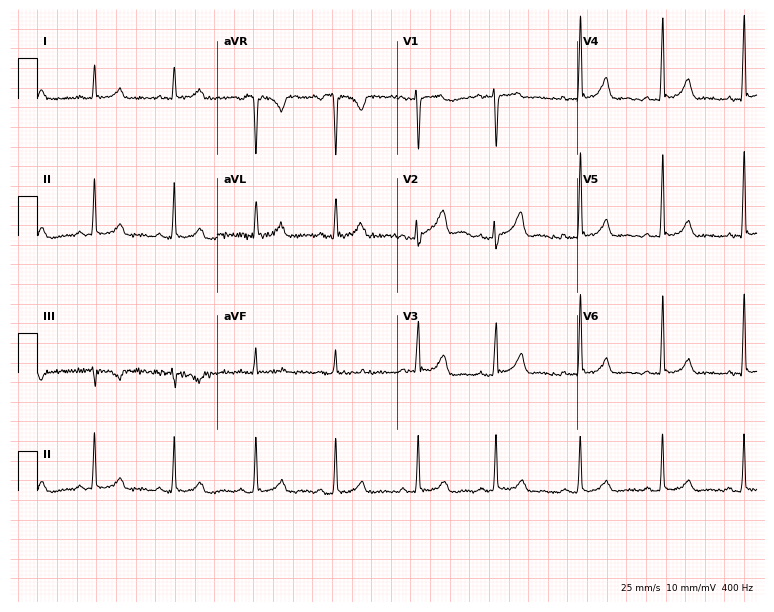
12-lead ECG from a 39-year-old female. Screened for six findings — first-degree AV block, right bundle branch block, left bundle branch block, sinus bradycardia, atrial fibrillation, sinus tachycardia — none is recorded. Only these six findings were labelled.